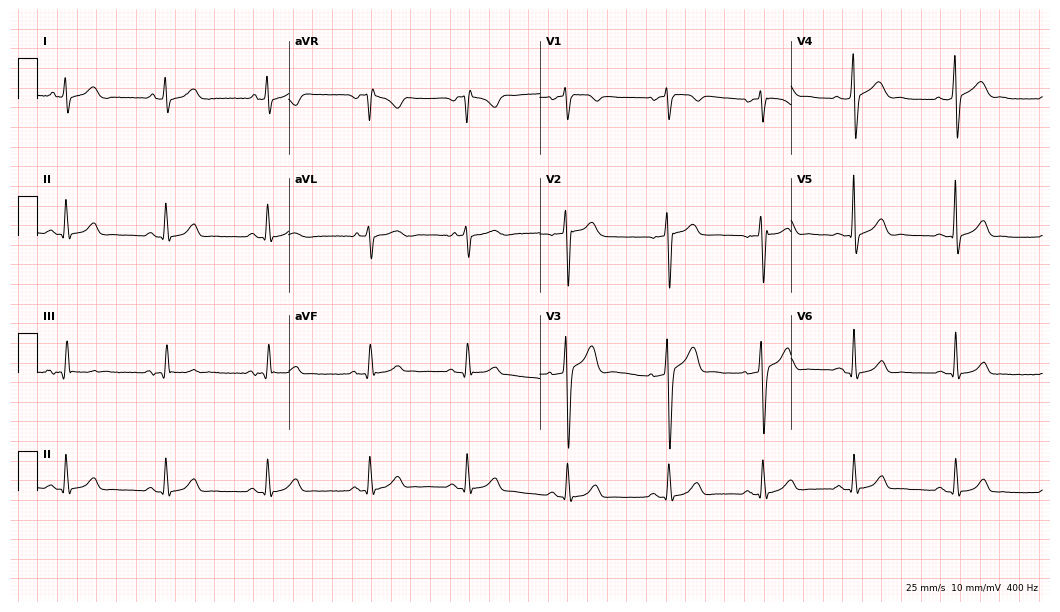
12-lead ECG from a 40-year-old male patient. Labelled as a normal ECG.